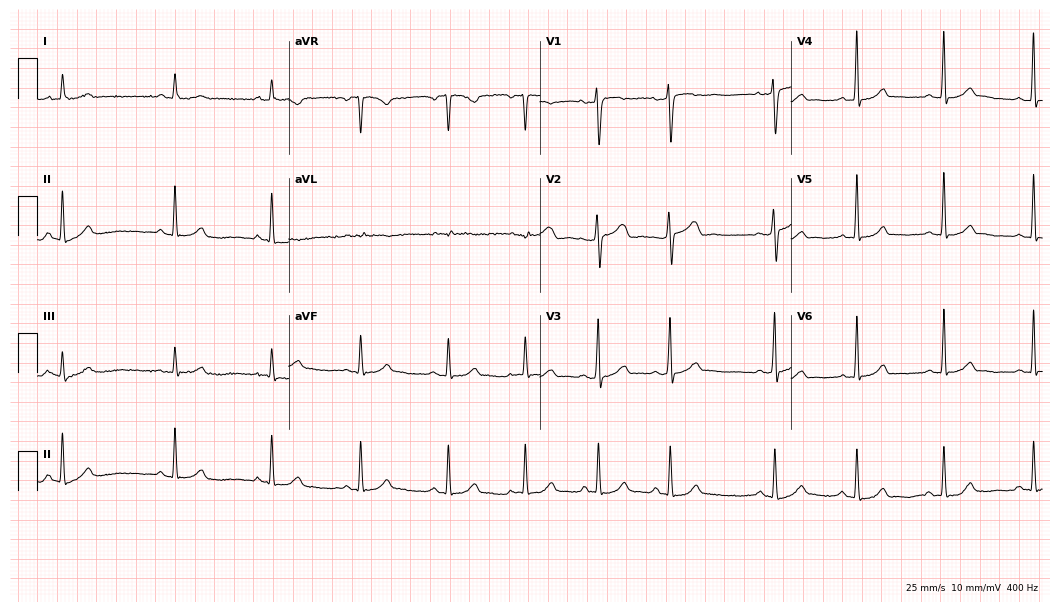
Standard 12-lead ECG recorded from a 25-year-old female patient (10.2-second recording at 400 Hz). None of these six findings is recorded: first-degree AV block, right bundle branch block (RBBB), left bundle branch block (LBBB), sinus bradycardia, atrial fibrillation (AF), sinus tachycardia. Other findings, if any, are not listed.